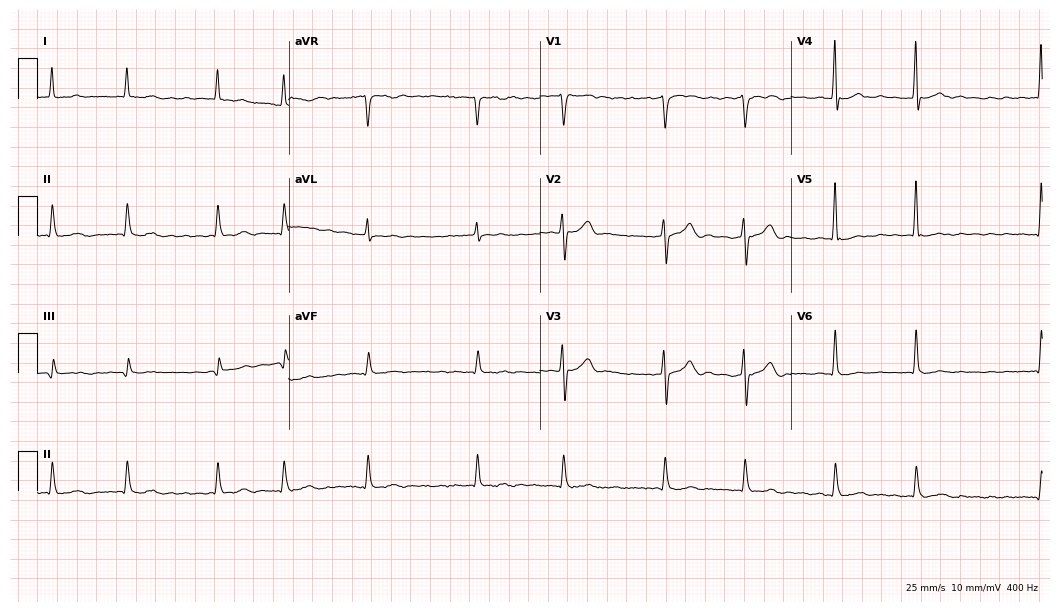
Standard 12-lead ECG recorded from a 73-year-old male (10.2-second recording at 400 Hz). The tracing shows atrial fibrillation (AF).